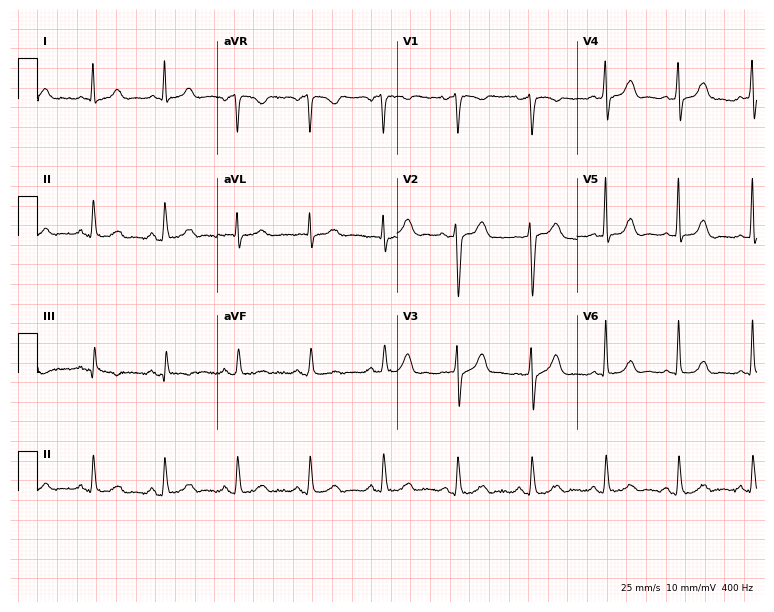
ECG (7.3-second recording at 400 Hz) — a 34-year-old woman. Labelled as a normal ECG.